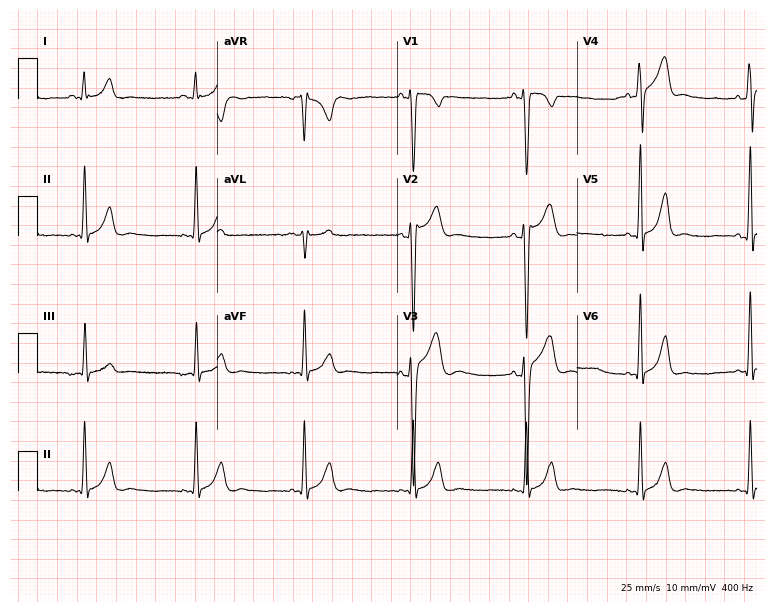
12-lead ECG (7.3-second recording at 400 Hz) from a 25-year-old male patient. Labelled as a normal ECG.